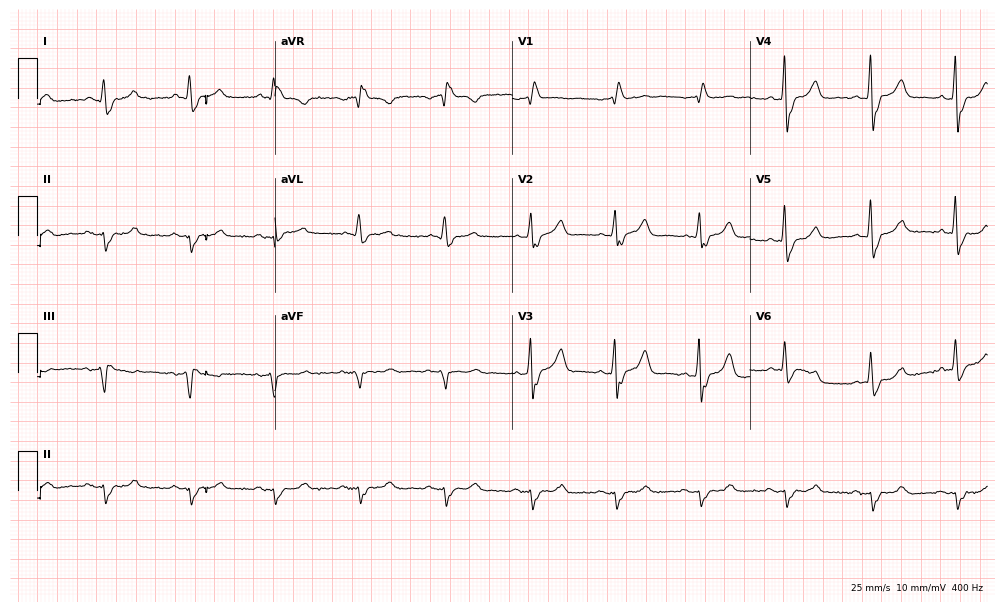
Electrocardiogram (9.7-second recording at 400 Hz), a man, 80 years old. Of the six screened findings (first-degree AV block, right bundle branch block, left bundle branch block, sinus bradycardia, atrial fibrillation, sinus tachycardia), none is recorded. Only these six findings were labelled.